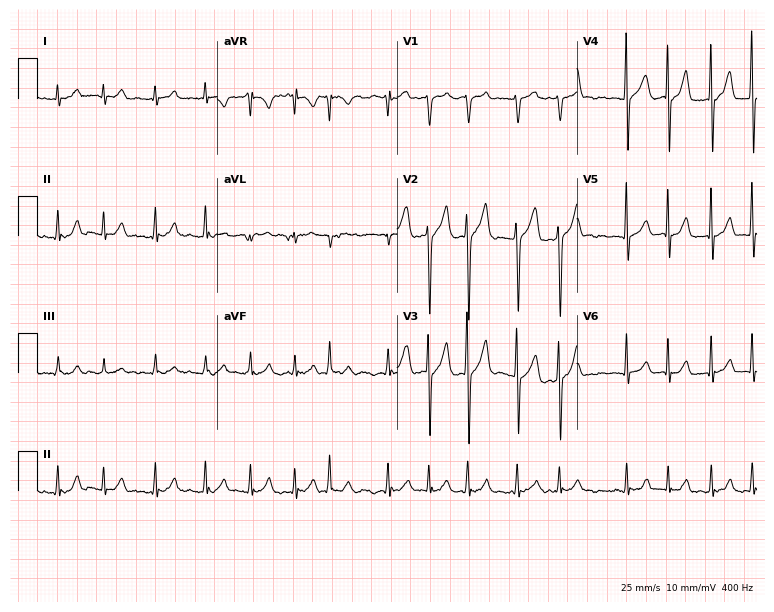
12-lead ECG from a male, 52 years old (7.3-second recording at 400 Hz). Shows atrial fibrillation.